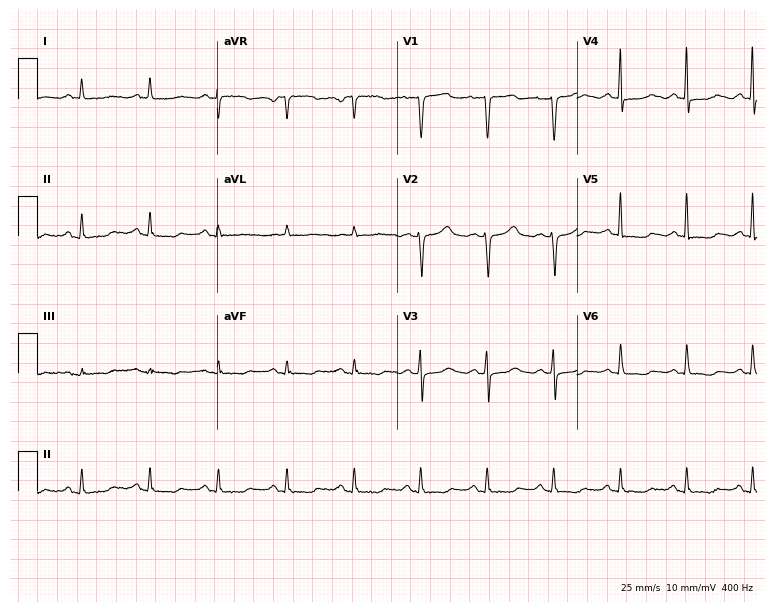
Resting 12-lead electrocardiogram (7.3-second recording at 400 Hz). Patient: a 61-year-old female. None of these six findings is recorded: first-degree AV block, right bundle branch block, left bundle branch block, sinus bradycardia, atrial fibrillation, sinus tachycardia.